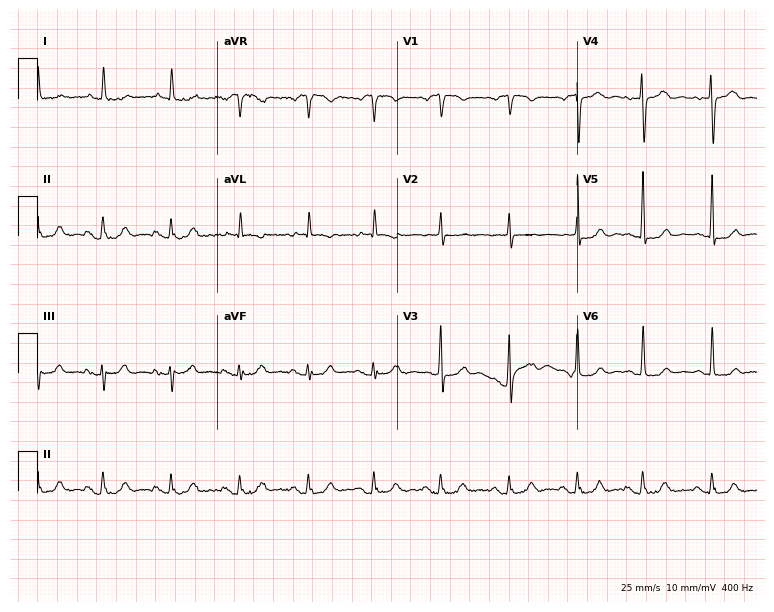
ECG — an 85-year-old female patient. Screened for six findings — first-degree AV block, right bundle branch block, left bundle branch block, sinus bradycardia, atrial fibrillation, sinus tachycardia — none is recorded. Only these six findings were labelled.